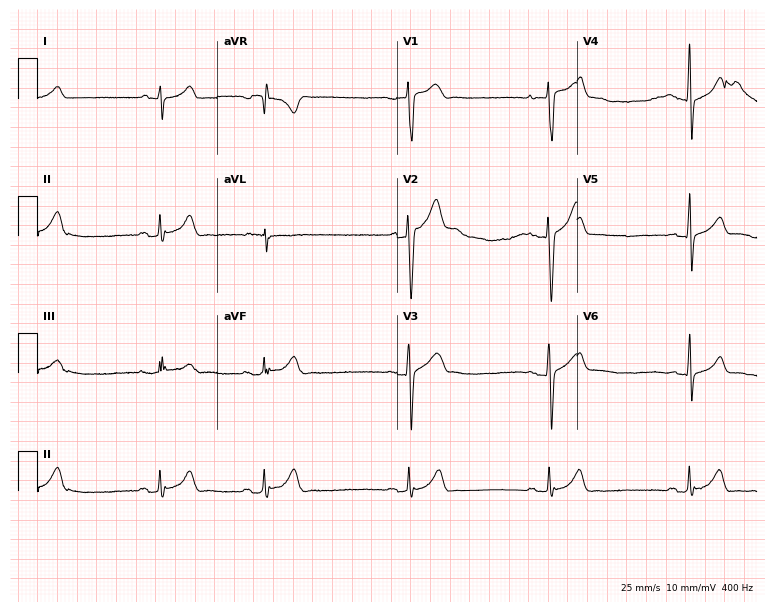
Electrocardiogram (7.3-second recording at 400 Hz), an 18-year-old male patient. Of the six screened findings (first-degree AV block, right bundle branch block, left bundle branch block, sinus bradycardia, atrial fibrillation, sinus tachycardia), none is recorded.